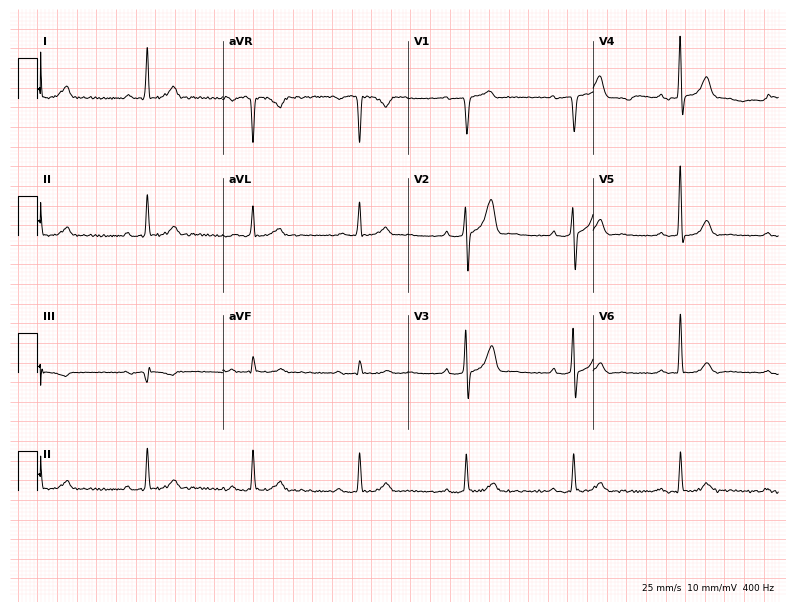
12-lead ECG (7.6-second recording at 400 Hz) from a man, 71 years old. Labelled as a normal ECG.